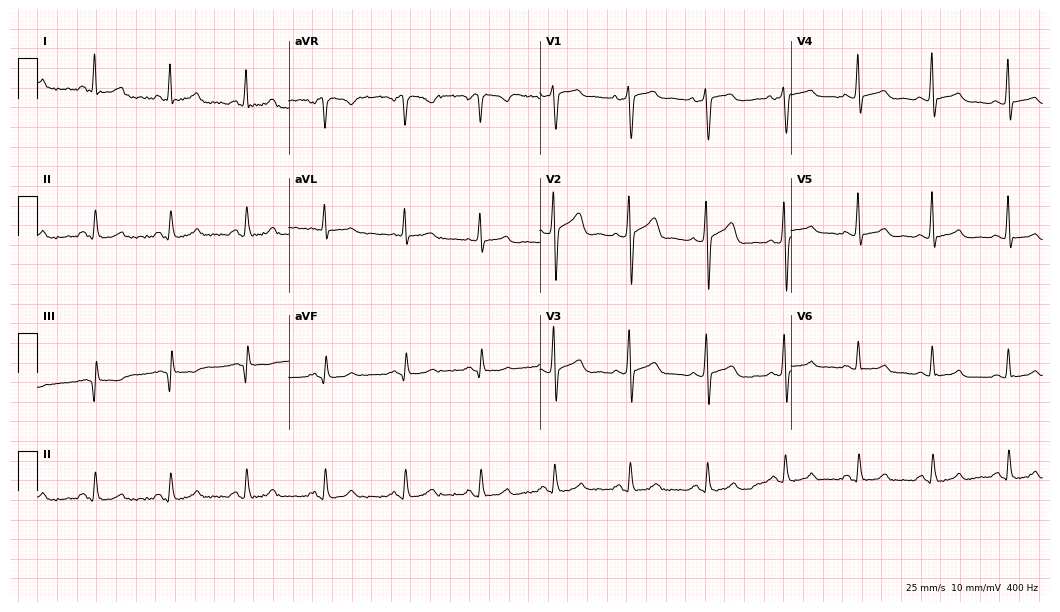
ECG (10.2-second recording at 400 Hz) — a 44-year-old male patient. Labelled as a normal ECG.